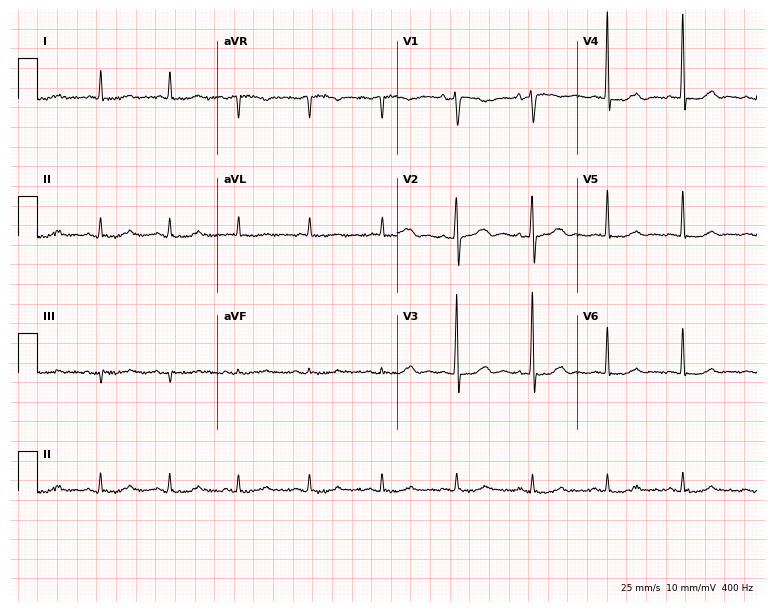
Resting 12-lead electrocardiogram. Patient: a 79-year-old woman. None of these six findings is recorded: first-degree AV block, right bundle branch block, left bundle branch block, sinus bradycardia, atrial fibrillation, sinus tachycardia.